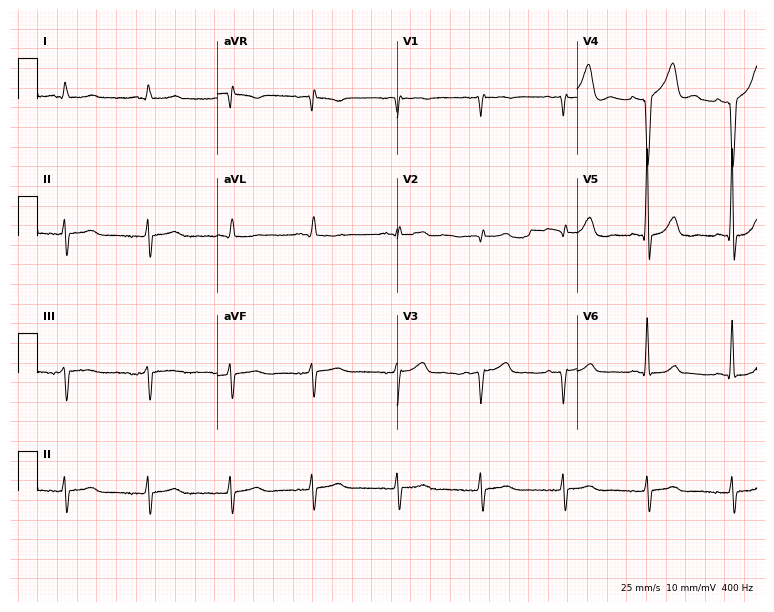
12-lead ECG from a male, 83 years old. Screened for six findings — first-degree AV block, right bundle branch block (RBBB), left bundle branch block (LBBB), sinus bradycardia, atrial fibrillation (AF), sinus tachycardia — none is recorded.